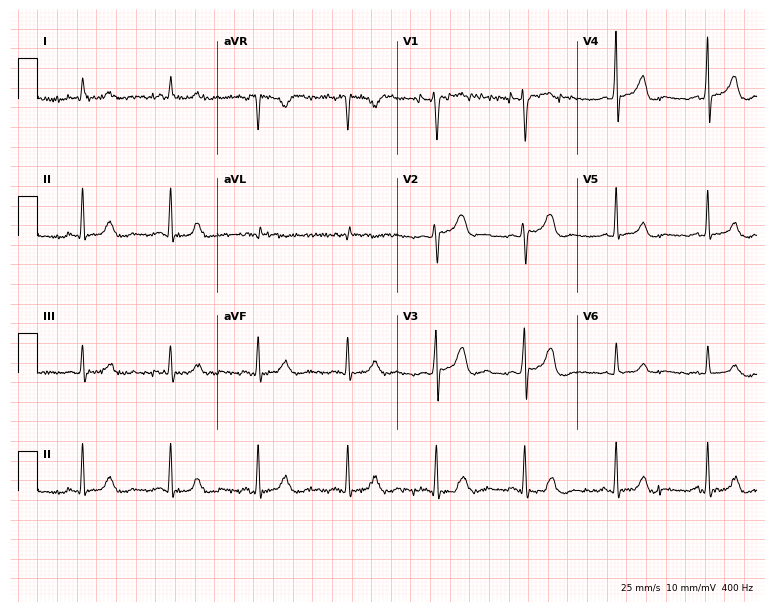
12-lead ECG from a man, 55 years old (7.3-second recording at 400 Hz). No first-degree AV block, right bundle branch block, left bundle branch block, sinus bradycardia, atrial fibrillation or sinus tachycardia recorded for this tracing. Other findings, if any, are not listed.